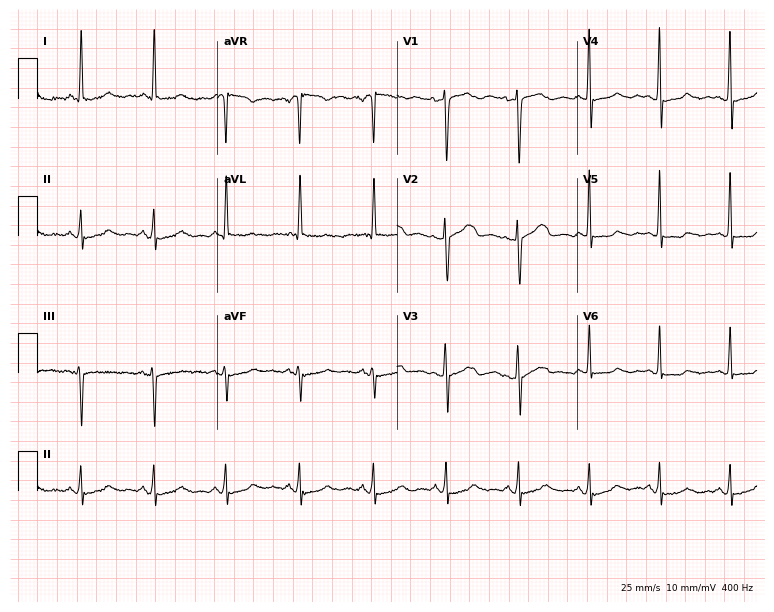
ECG — a female, 50 years old. Screened for six findings — first-degree AV block, right bundle branch block, left bundle branch block, sinus bradycardia, atrial fibrillation, sinus tachycardia — none is recorded.